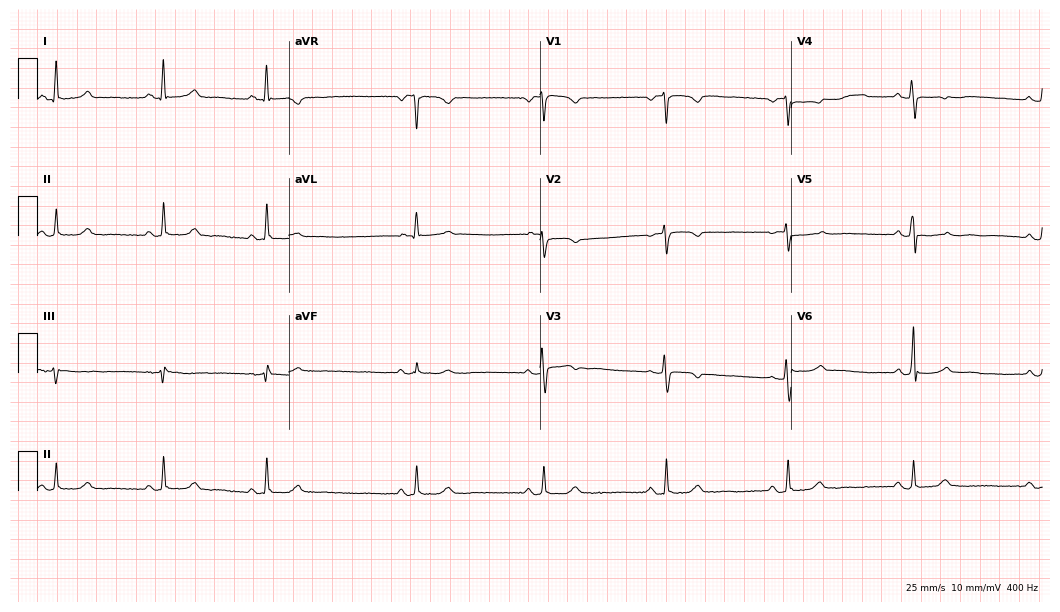
Resting 12-lead electrocardiogram (10.2-second recording at 400 Hz). Patient: a 70-year-old woman. The tracing shows sinus bradycardia (a sinus rate of 50 beats per minute or less).